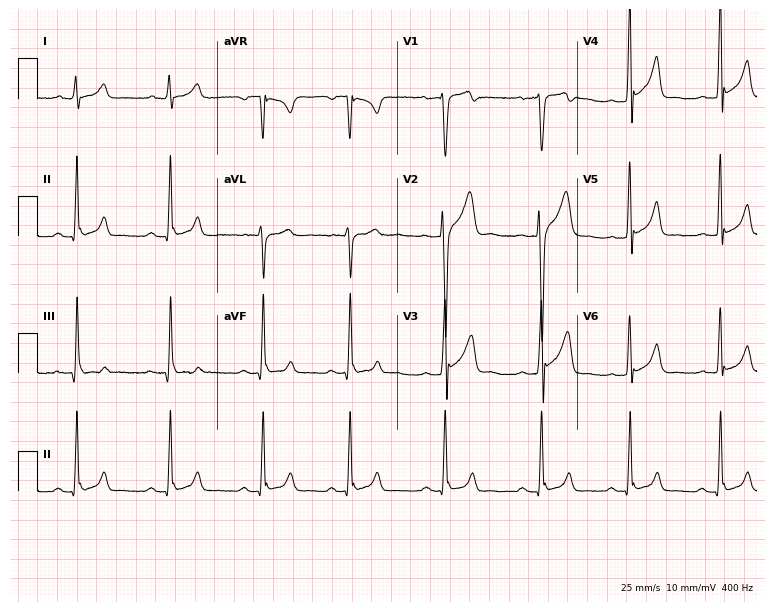
Electrocardiogram, a 30-year-old man. Overall reading on record: normal ECG.